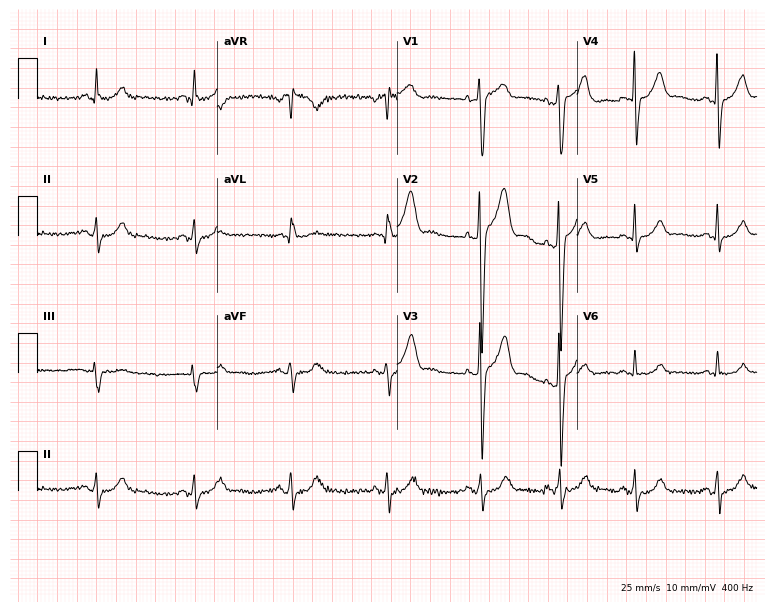
12-lead ECG (7.3-second recording at 400 Hz) from a male patient, 44 years old. Labelled as a normal ECG.